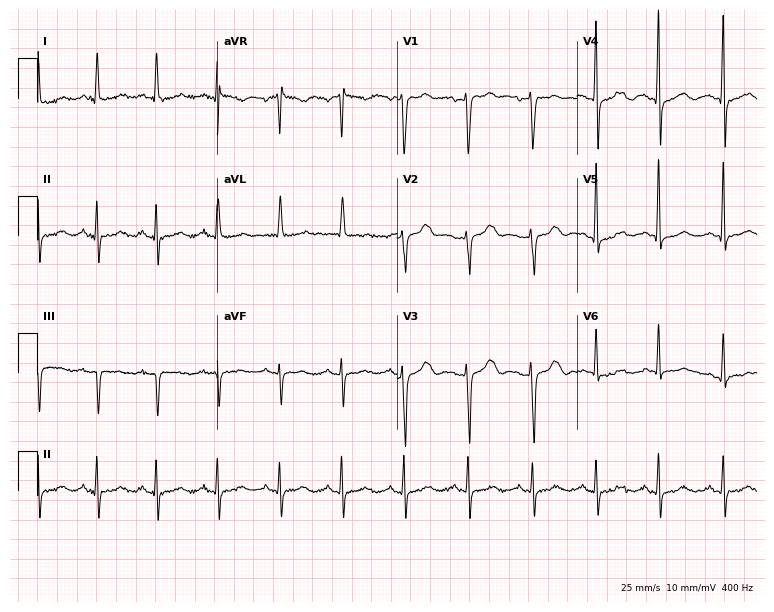
Electrocardiogram (7.3-second recording at 400 Hz), a female, 79 years old. Overall reading on record: normal ECG.